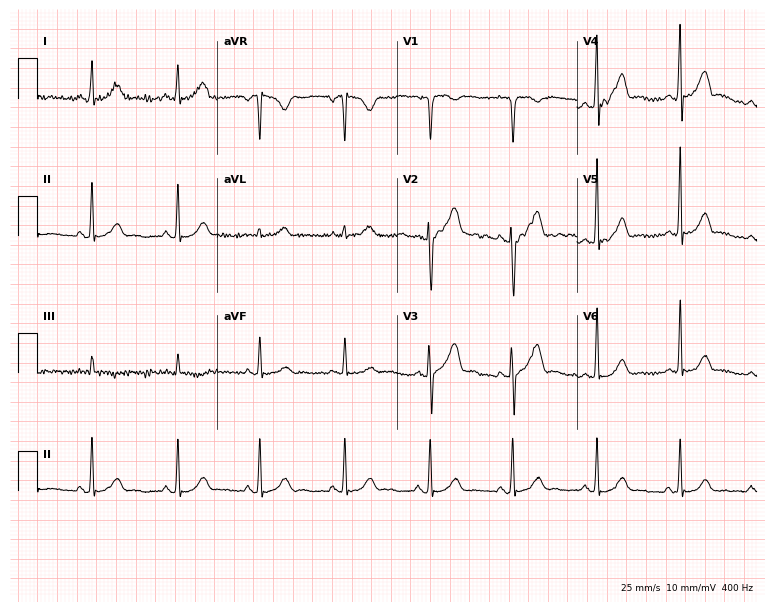
12-lead ECG from a 26-year-old female patient (7.3-second recording at 400 Hz). No first-degree AV block, right bundle branch block, left bundle branch block, sinus bradycardia, atrial fibrillation or sinus tachycardia recorded for this tracing.